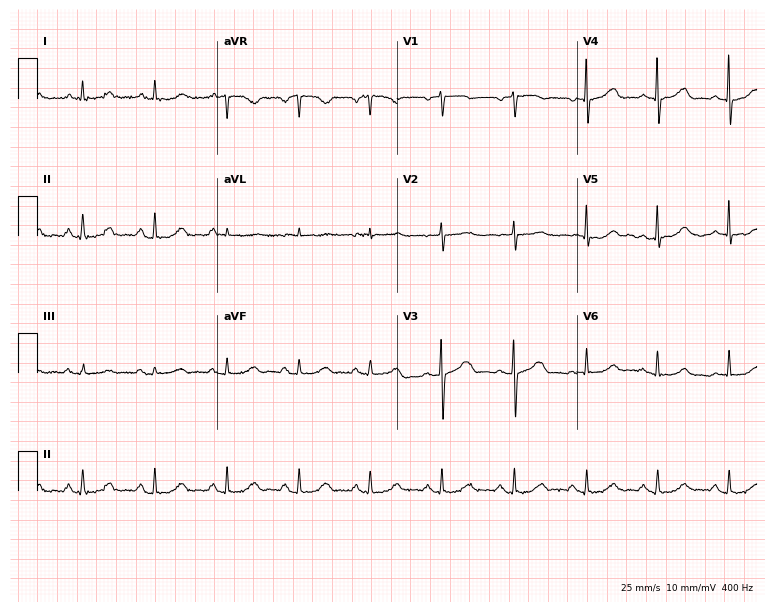
ECG — an 84-year-old female. Labelled as a normal ECG.